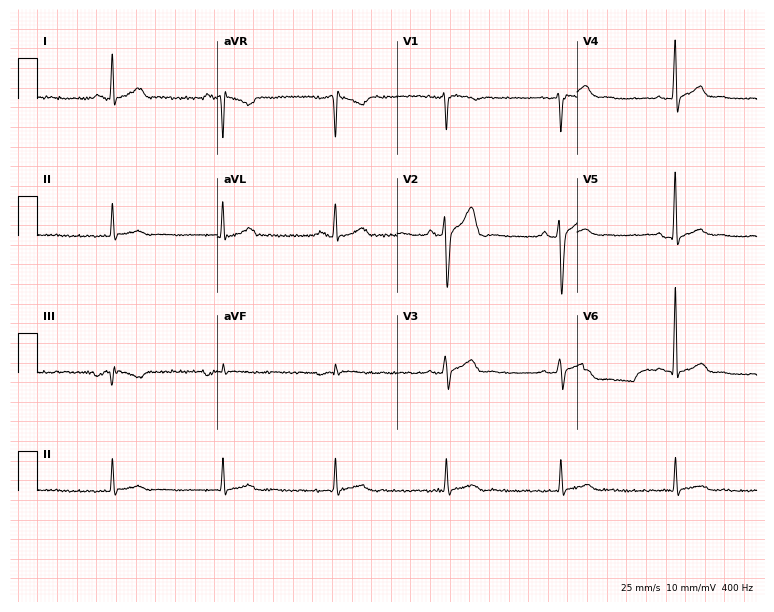
Electrocardiogram, a male patient, 38 years old. Of the six screened findings (first-degree AV block, right bundle branch block, left bundle branch block, sinus bradycardia, atrial fibrillation, sinus tachycardia), none is recorded.